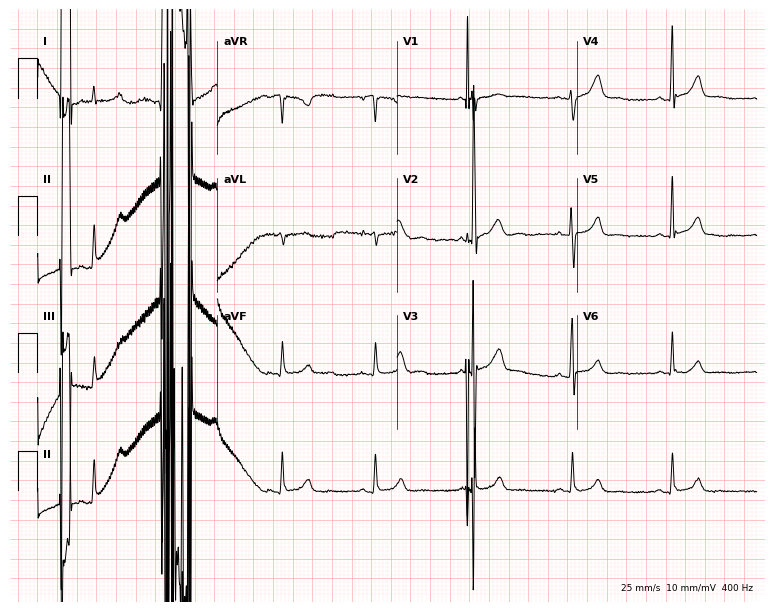
ECG (7.3-second recording at 400 Hz) — a 43-year-old male. Screened for six findings — first-degree AV block, right bundle branch block (RBBB), left bundle branch block (LBBB), sinus bradycardia, atrial fibrillation (AF), sinus tachycardia — none is recorded.